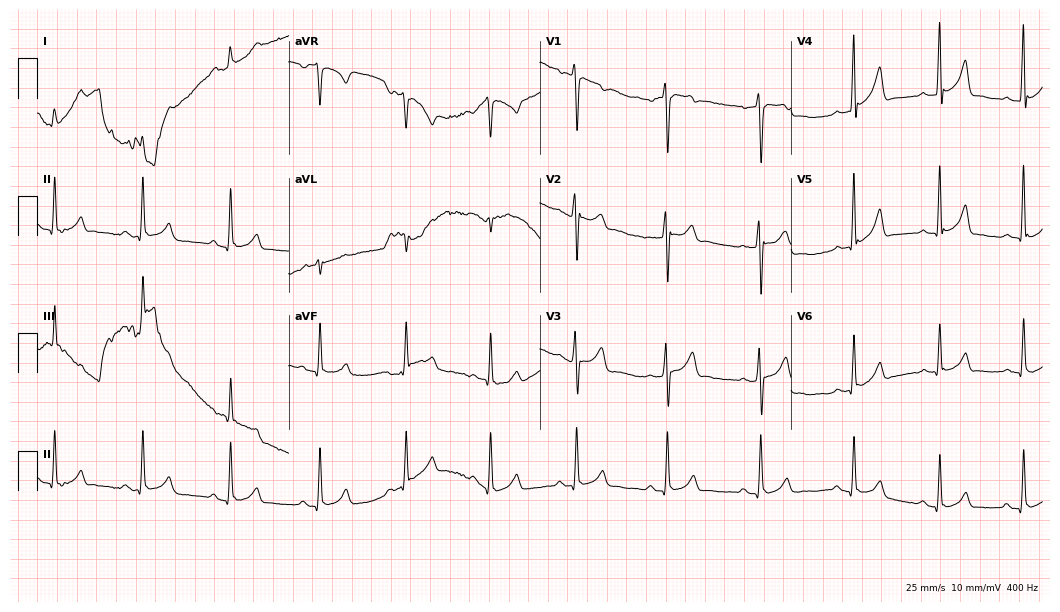
ECG — a 29-year-old man. Labelled as a normal ECG.